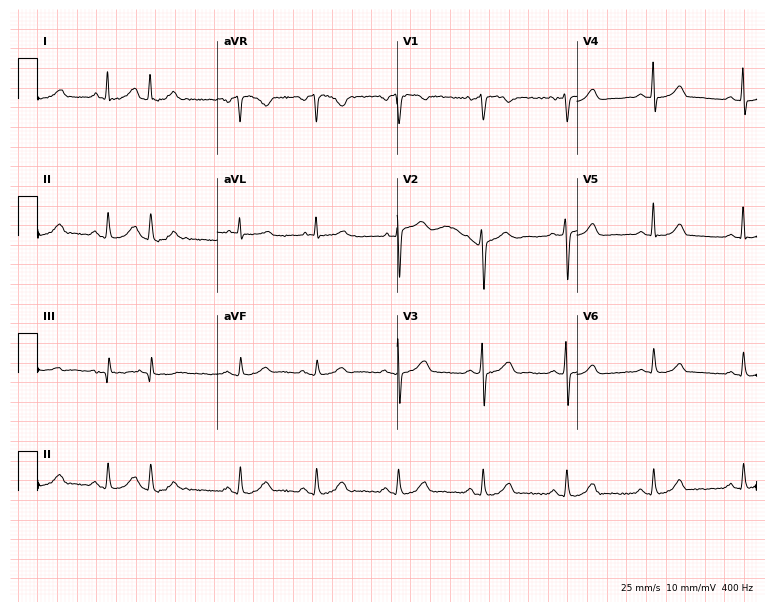
12-lead ECG (7.3-second recording at 400 Hz) from a female patient, 58 years old. Screened for six findings — first-degree AV block, right bundle branch block (RBBB), left bundle branch block (LBBB), sinus bradycardia, atrial fibrillation (AF), sinus tachycardia — none is recorded.